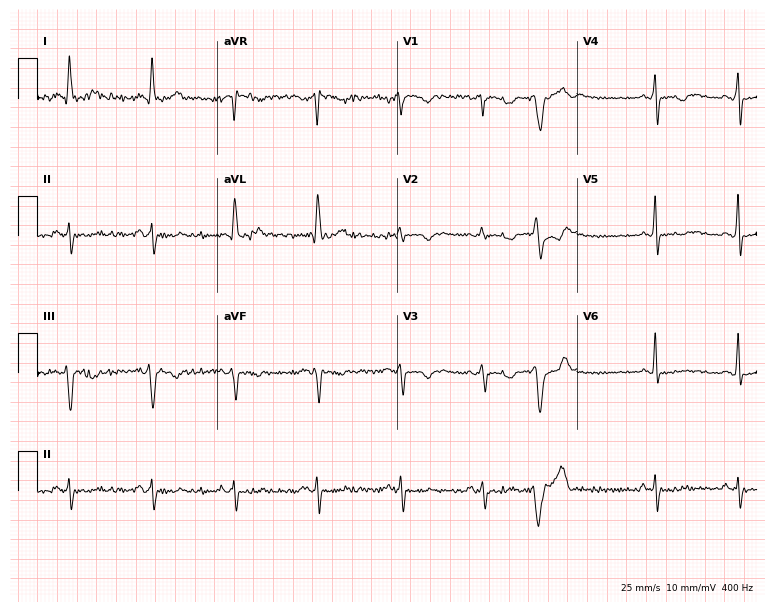
Electrocardiogram (7.3-second recording at 400 Hz), a 44-year-old female patient. Of the six screened findings (first-degree AV block, right bundle branch block, left bundle branch block, sinus bradycardia, atrial fibrillation, sinus tachycardia), none is recorded.